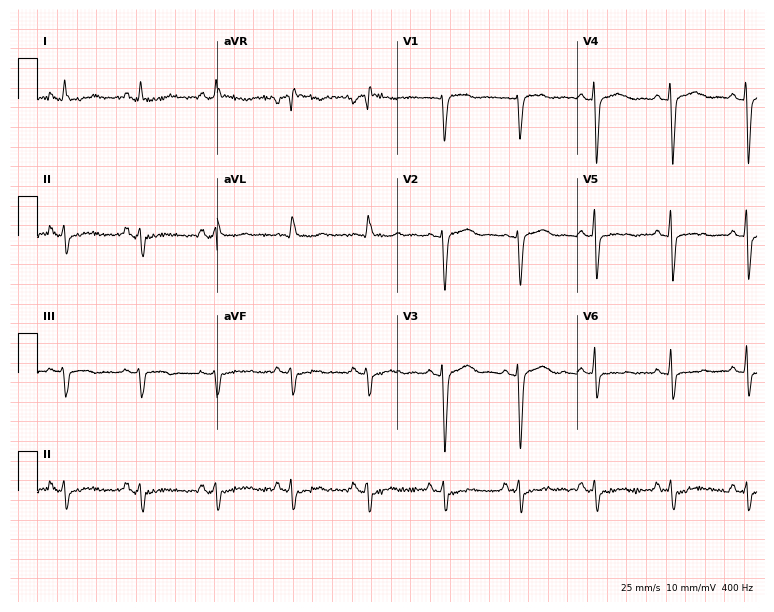
12-lead ECG from a 52-year-old woman. No first-degree AV block, right bundle branch block, left bundle branch block, sinus bradycardia, atrial fibrillation or sinus tachycardia recorded for this tracing.